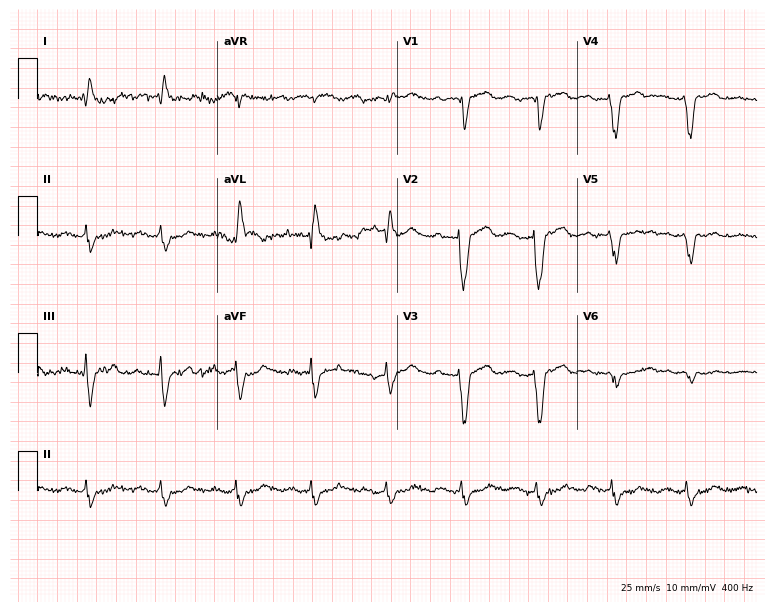
Resting 12-lead electrocardiogram. Patient: a 67-year-old male. None of these six findings is recorded: first-degree AV block, right bundle branch block, left bundle branch block, sinus bradycardia, atrial fibrillation, sinus tachycardia.